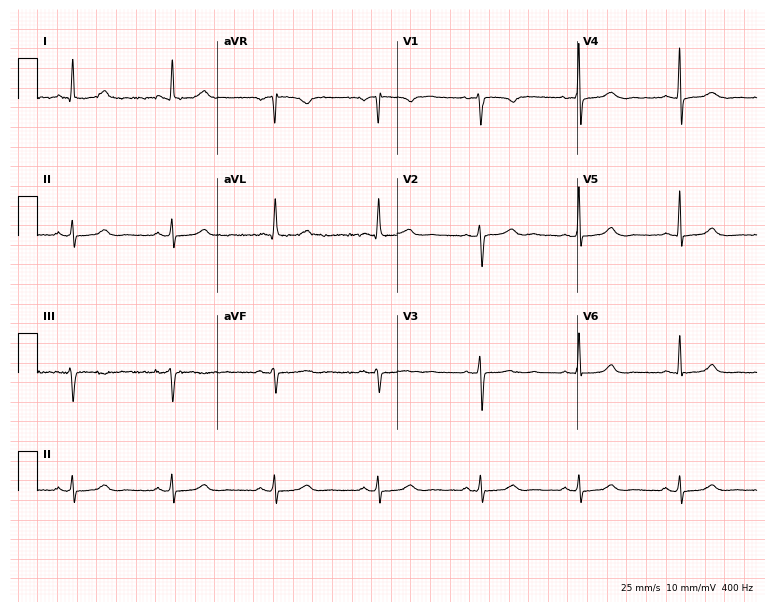
Resting 12-lead electrocardiogram. Patient: a woman, 63 years old. None of these six findings is recorded: first-degree AV block, right bundle branch block, left bundle branch block, sinus bradycardia, atrial fibrillation, sinus tachycardia.